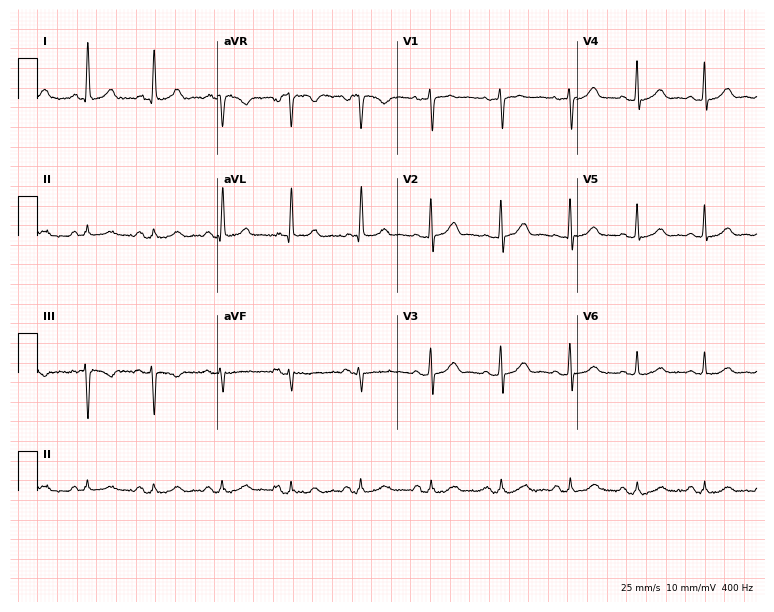
ECG (7.3-second recording at 400 Hz) — a 53-year-old female. Screened for six findings — first-degree AV block, right bundle branch block, left bundle branch block, sinus bradycardia, atrial fibrillation, sinus tachycardia — none is recorded. Only these six findings were labelled.